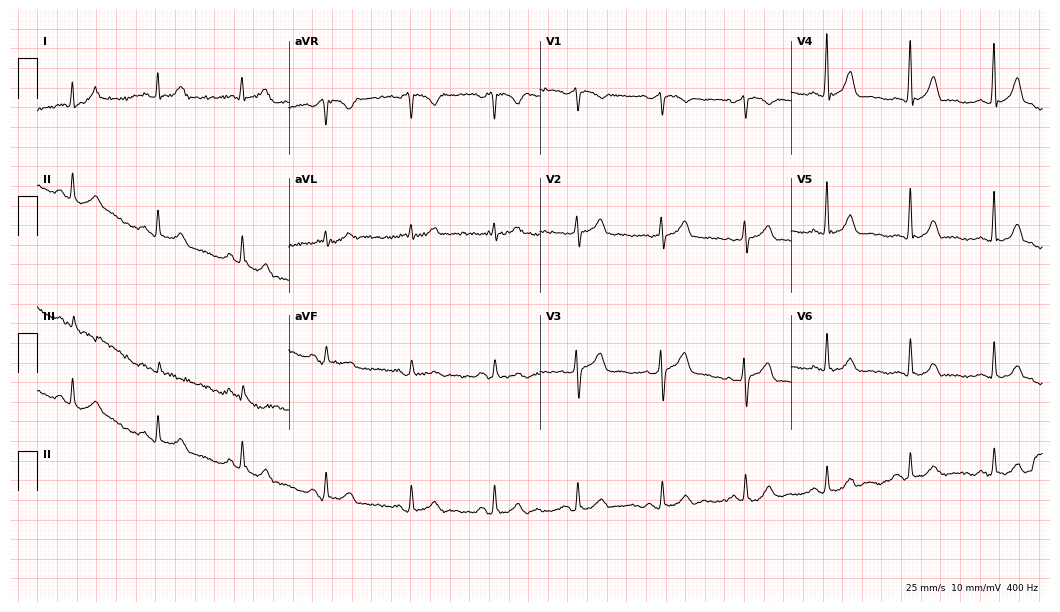
ECG (10.2-second recording at 400 Hz) — a 59-year-old man. Labelled as a normal ECG.